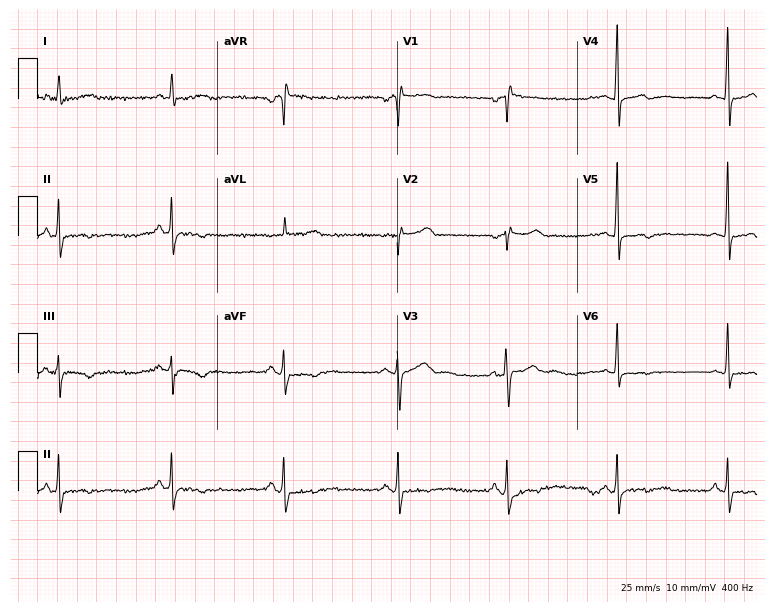
Electrocardiogram (7.3-second recording at 400 Hz), a 48-year-old female. Of the six screened findings (first-degree AV block, right bundle branch block, left bundle branch block, sinus bradycardia, atrial fibrillation, sinus tachycardia), none is recorded.